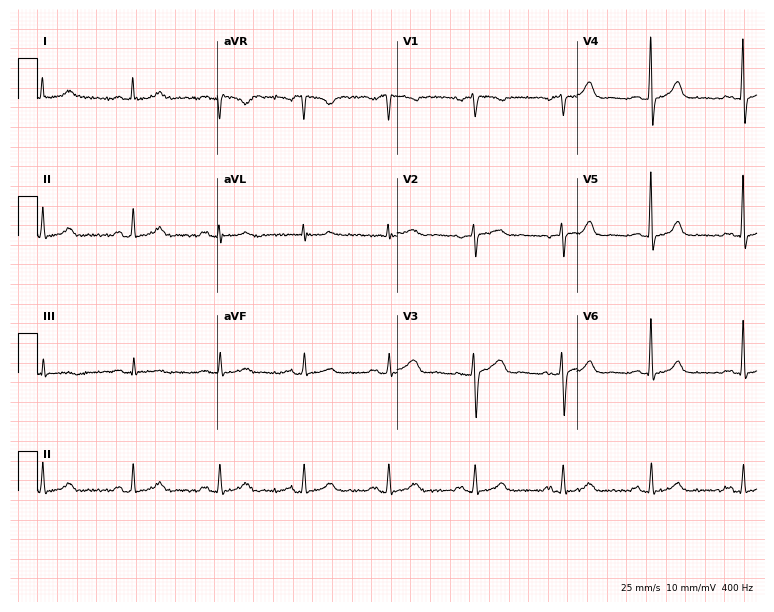
12-lead ECG (7.3-second recording at 400 Hz) from a female patient, 45 years old. Labelled as a normal ECG.